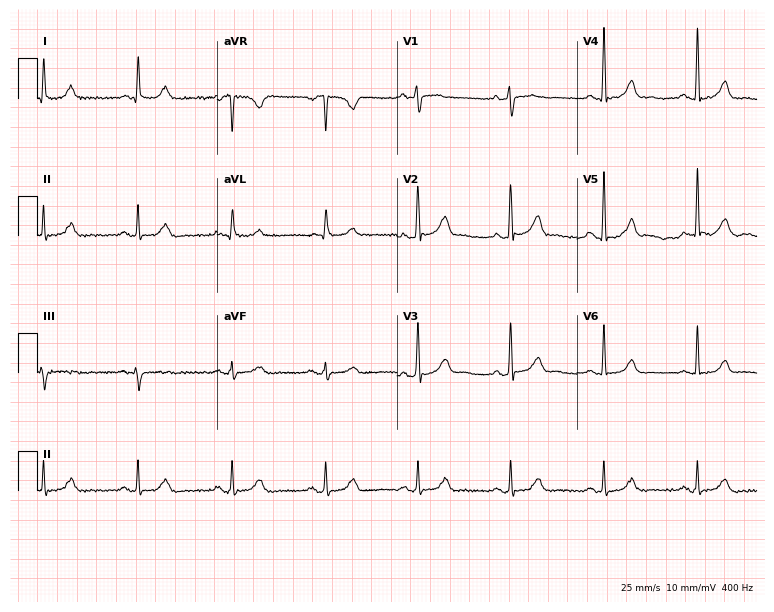
12-lead ECG from a man, 68 years old. Recorded interpretation: within normal limits.